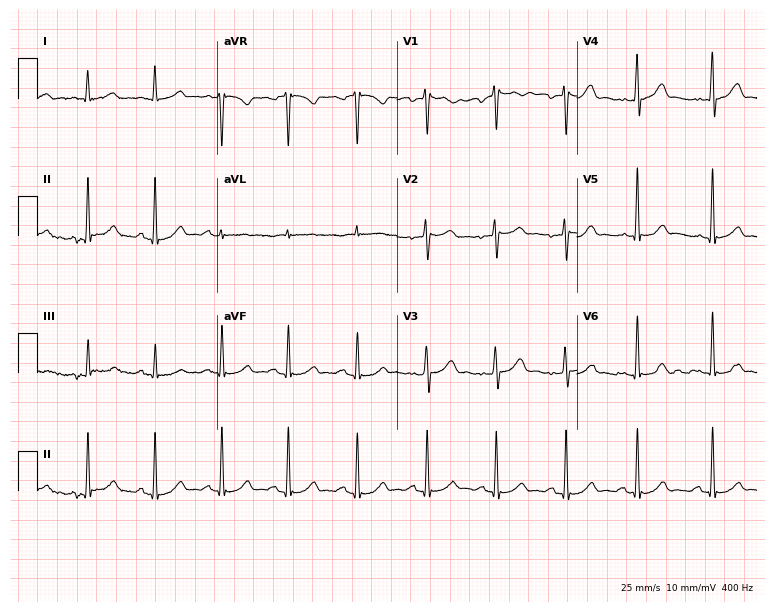
12-lead ECG (7.3-second recording at 400 Hz) from a 59-year-old male. Screened for six findings — first-degree AV block, right bundle branch block, left bundle branch block, sinus bradycardia, atrial fibrillation, sinus tachycardia — none is recorded.